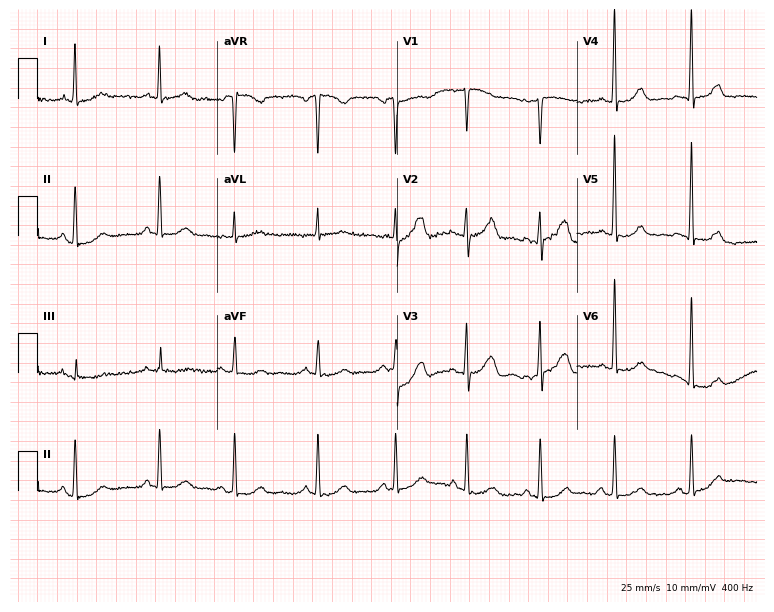
Electrocardiogram (7.3-second recording at 400 Hz), a 75-year-old female. Of the six screened findings (first-degree AV block, right bundle branch block, left bundle branch block, sinus bradycardia, atrial fibrillation, sinus tachycardia), none is recorded. Only these six findings were labelled.